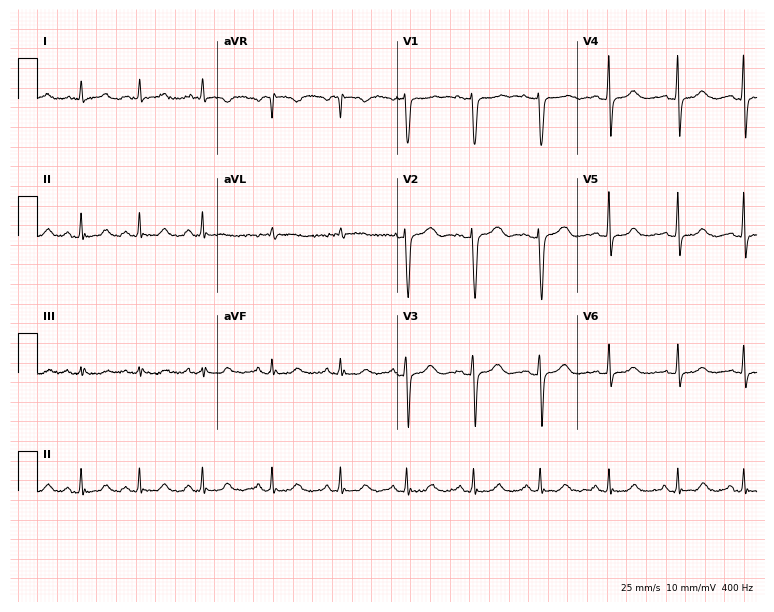
Standard 12-lead ECG recorded from a woman, 56 years old (7.3-second recording at 400 Hz). None of these six findings is recorded: first-degree AV block, right bundle branch block (RBBB), left bundle branch block (LBBB), sinus bradycardia, atrial fibrillation (AF), sinus tachycardia.